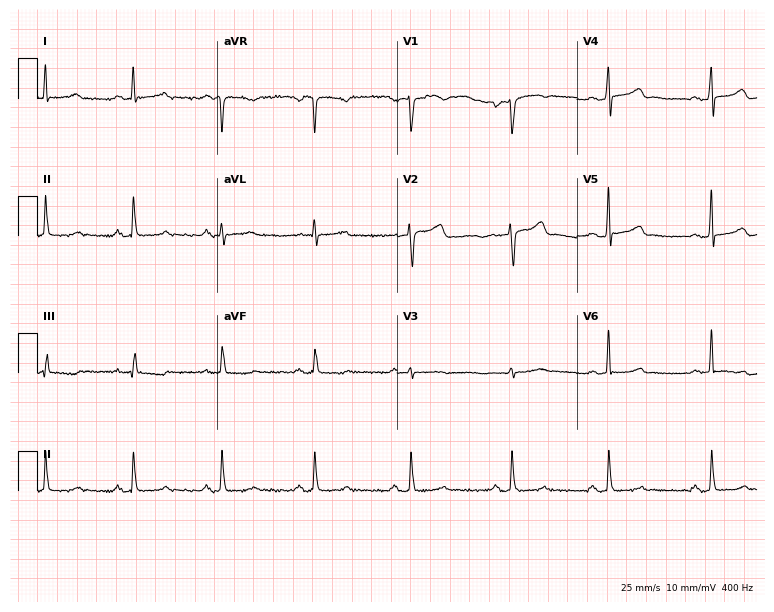
Resting 12-lead electrocardiogram. Patient: a woman, 51 years old. None of these six findings is recorded: first-degree AV block, right bundle branch block (RBBB), left bundle branch block (LBBB), sinus bradycardia, atrial fibrillation (AF), sinus tachycardia. Findings outside these six are not listed.